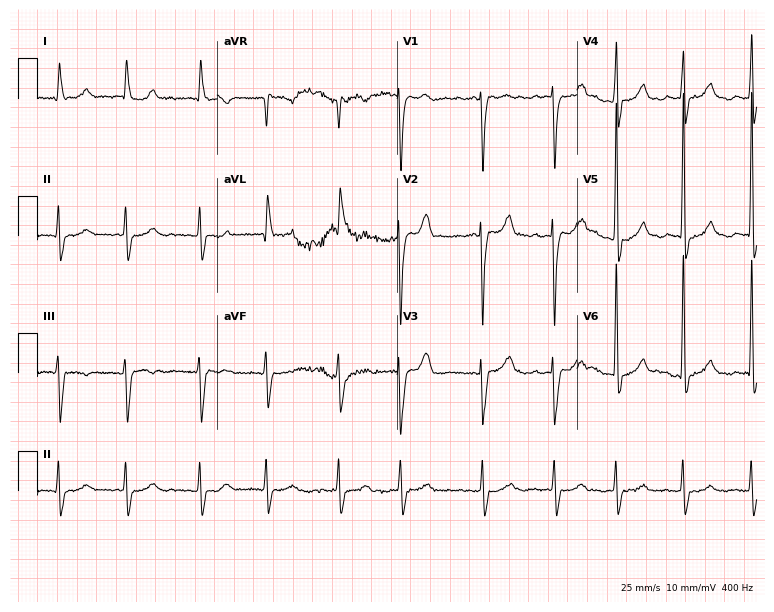
Electrocardiogram, a 73-year-old woman. Interpretation includes atrial fibrillation.